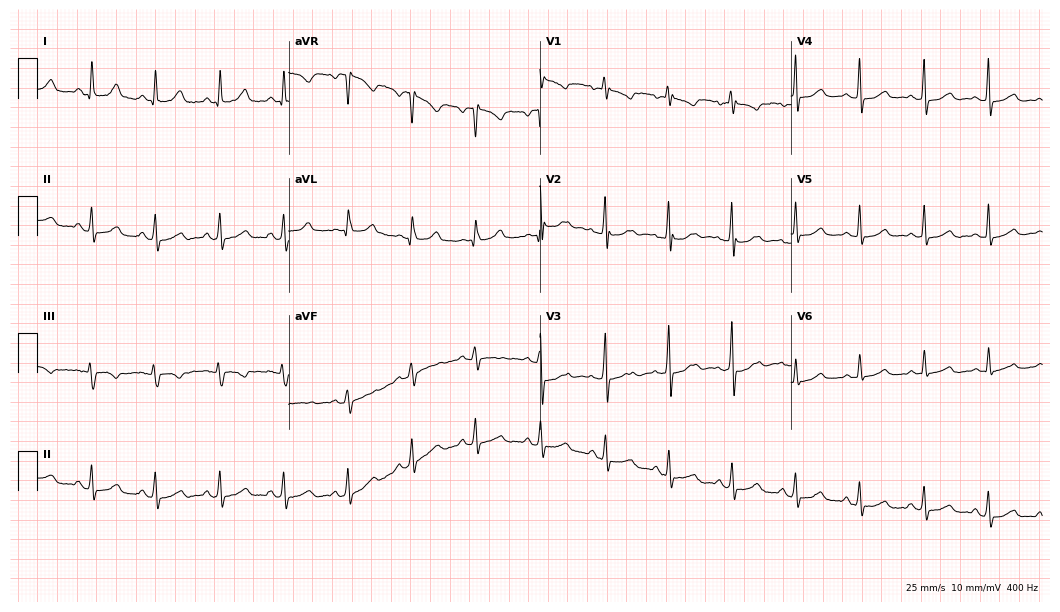
Standard 12-lead ECG recorded from a 35-year-old female patient (10.2-second recording at 400 Hz). Read as a normal ECG.